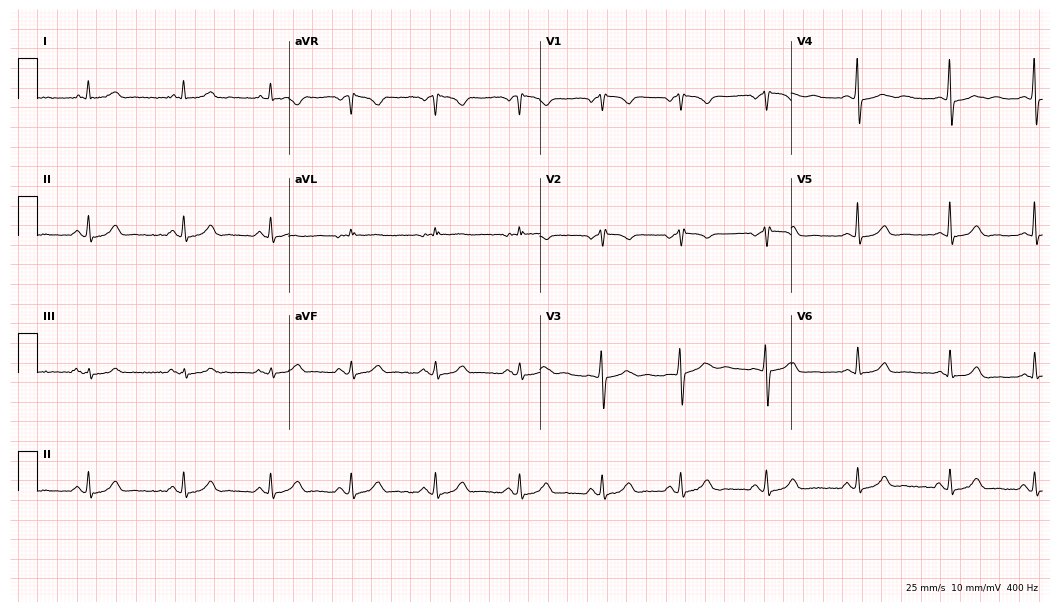
Electrocardiogram (10.2-second recording at 400 Hz), a 45-year-old female. Overall reading on record: normal ECG.